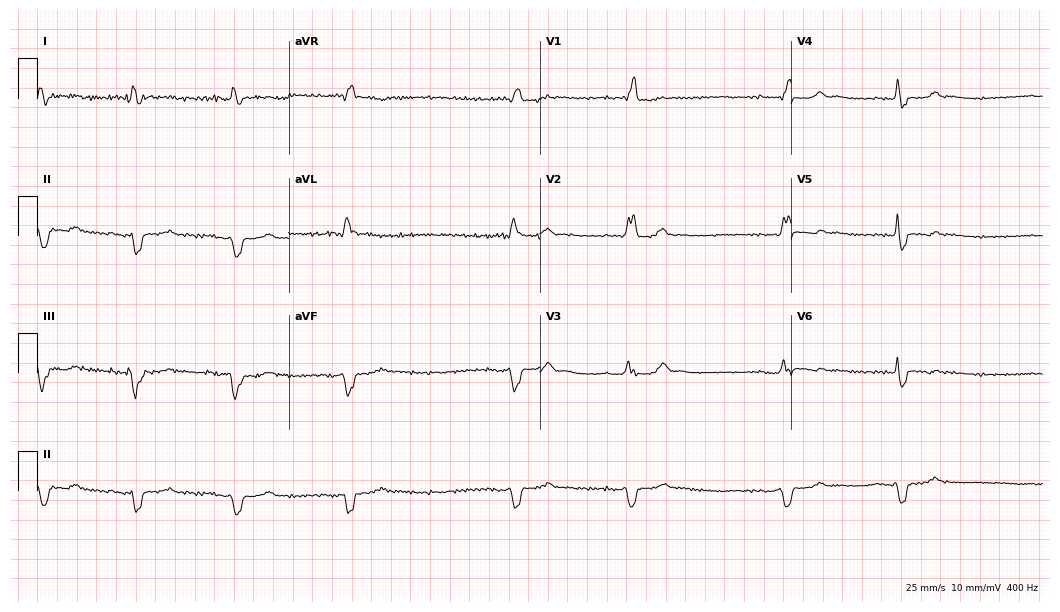
12-lead ECG (10.2-second recording at 400 Hz) from a 69-year-old woman. Findings include right bundle branch block, atrial fibrillation.